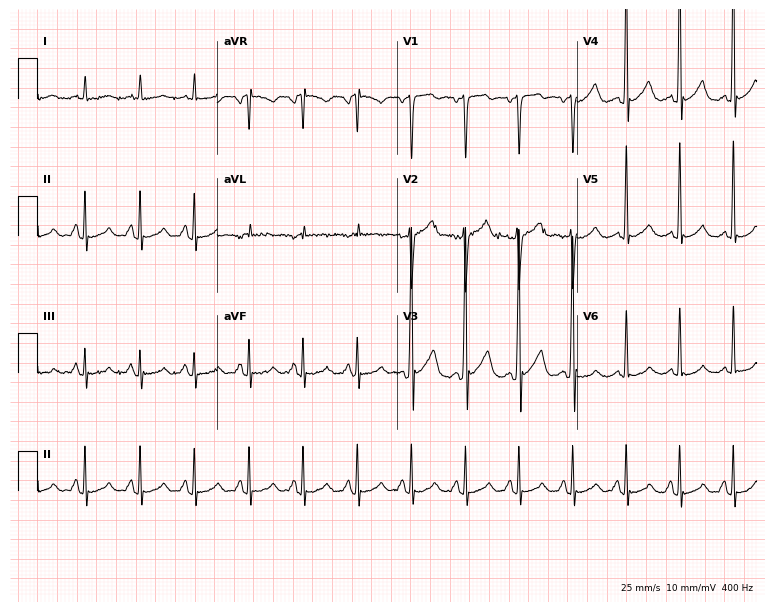
Standard 12-lead ECG recorded from a 44-year-old man. The tracing shows sinus tachycardia (a sinus rate of 100 beats per minute or more).